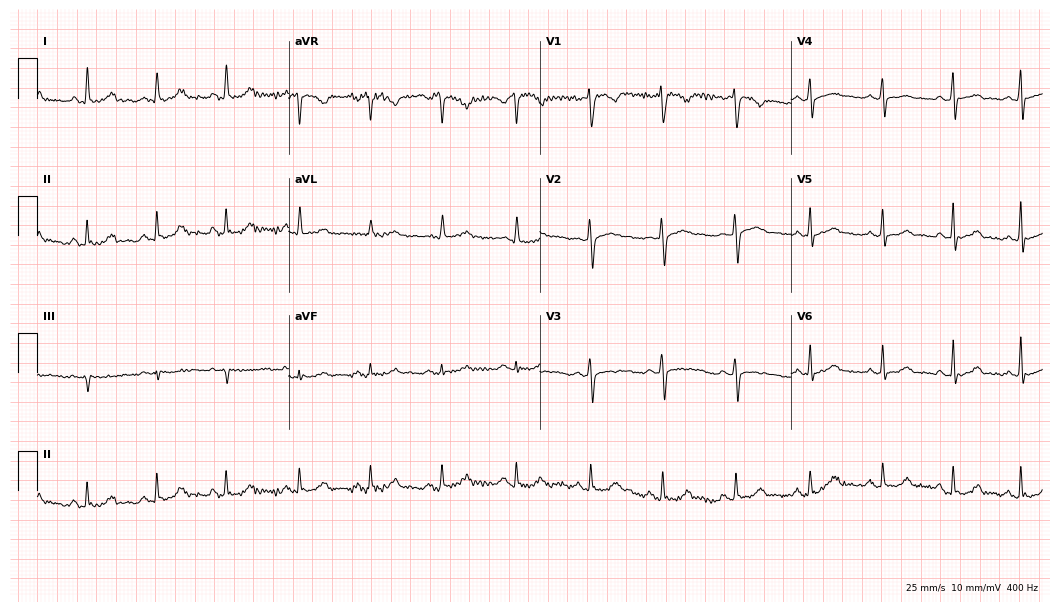
12-lead ECG (10.2-second recording at 400 Hz) from a 32-year-old woman. Labelled as a normal ECG.